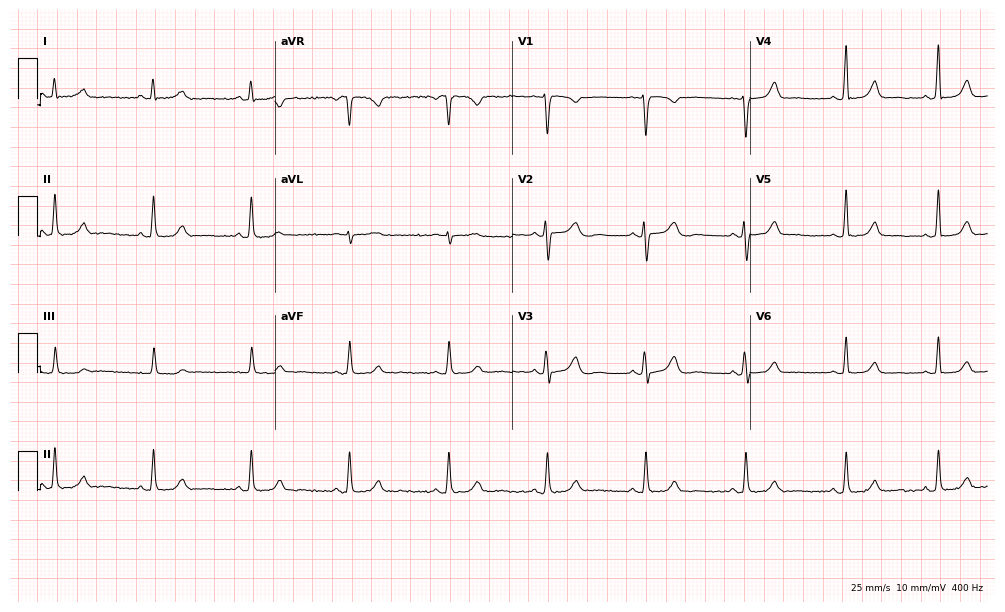
12-lead ECG from a 40-year-old female patient. Labelled as a normal ECG.